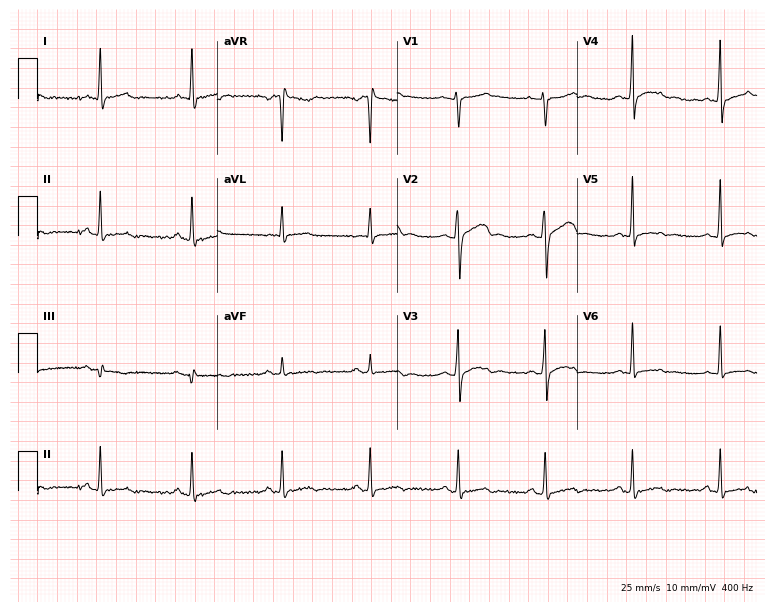
12-lead ECG (7.3-second recording at 400 Hz) from a male, 35 years old. Screened for six findings — first-degree AV block, right bundle branch block, left bundle branch block, sinus bradycardia, atrial fibrillation, sinus tachycardia — none is recorded. Only these six findings were labelled.